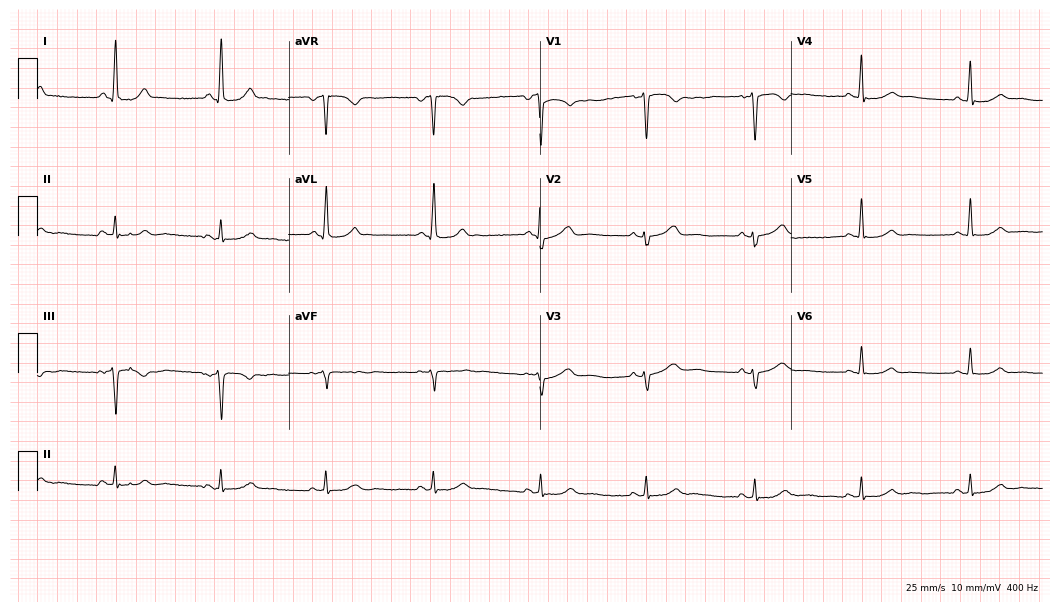
Resting 12-lead electrocardiogram (10.2-second recording at 400 Hz). Patient: a female, 52 years old. None of these six findings is recorded: first-degree AV block, right bundle branch block, left bundle branch block, sinus bradycardia, atrial fibrillation, sinus tachycardia. Only these six findings were labelled.